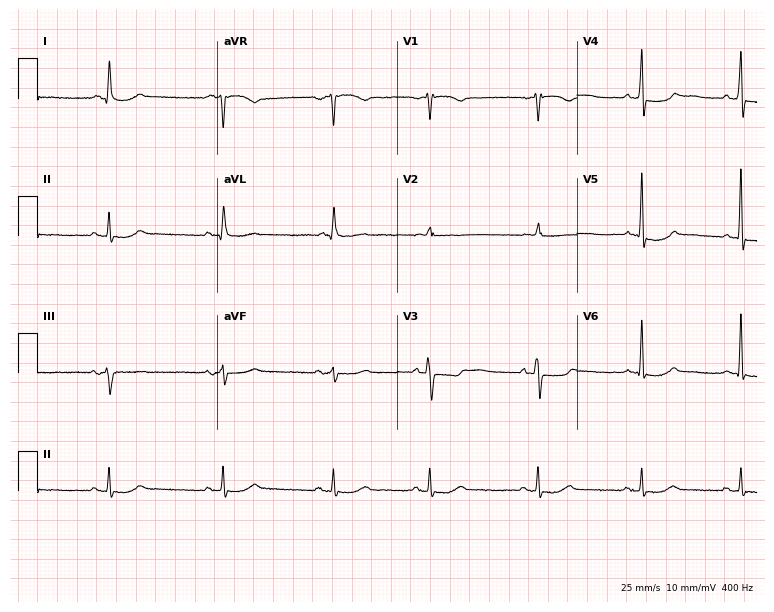
12-lead ECG from a 62-year-old woman. No first-degree AV block, right bundle branch block (RBBB), left bundle branch block (LBBB), sinus bradycardia, atrial fibrillation (AF) or sinus tachycardia recorded for this tracing. Other findings, if any, are not listed.